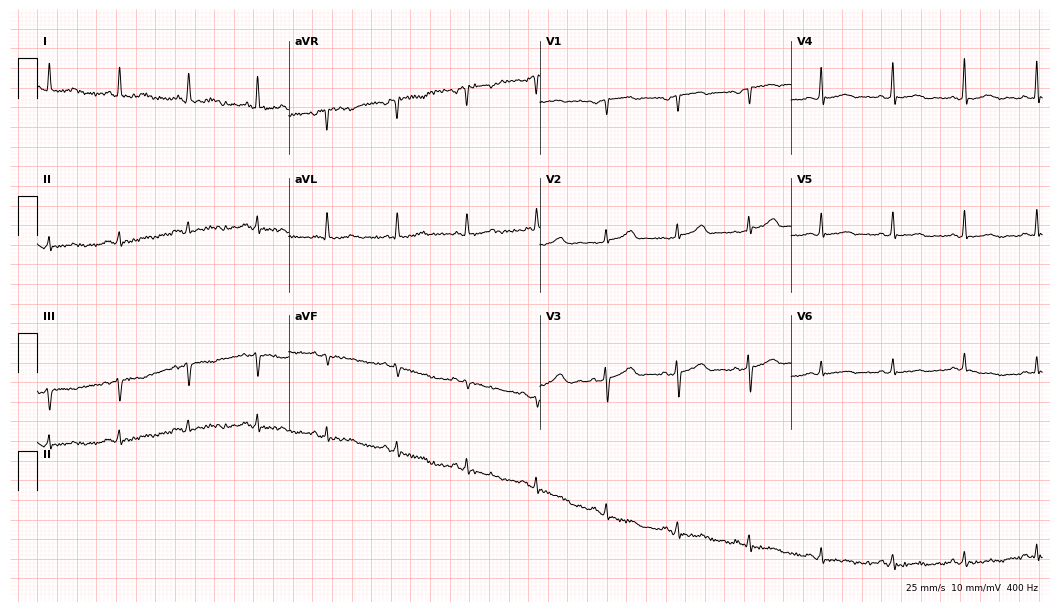
12-lead ECG (10.2-second recording at 400 Hz) from a 72-year-old female patient. Screened for six findings — first-degree AV block, right bundle branch block (RBBB), left bundle branch block (LBBB), sinus bradycardia, atrial fibrillation (AF), sinus tachycardia — none is recorded. Only these six findings were labelled.